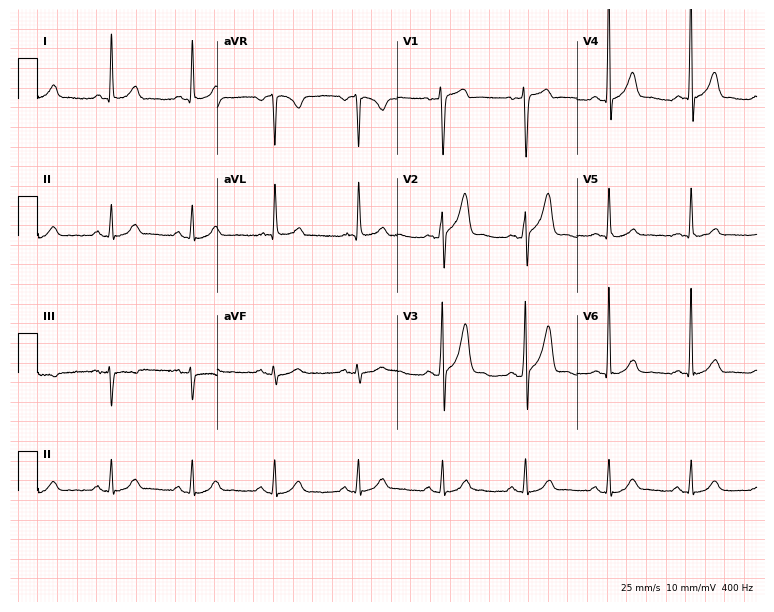
Standard 12-lead ECG recorded from a male, 53 years old (7.3-second recording at 400 Hz). None of these six findings is recorded: first-degree AV block, right bundle branch block, left bundle branch block, sinus bradycardia, atrial fibrillation, sinus tachycardia.